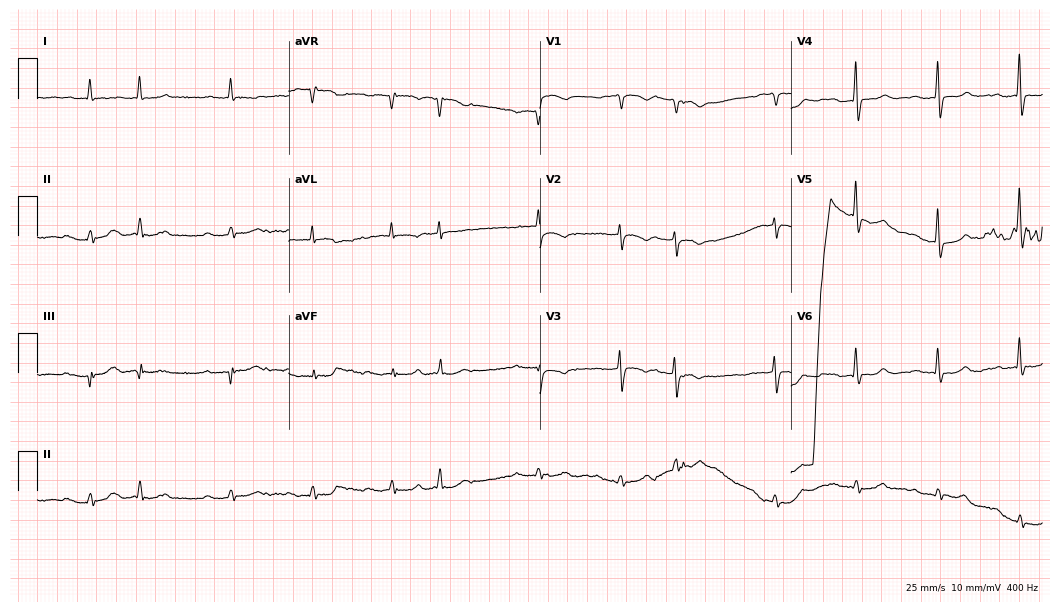
12-lead ECG from an 82-year-old male patient. No first-degree AV block, right bundle branch block, left bundle branch block, sinus bradycardia, atrial fibrillation or sinus tachycardia recorded for this tracing.